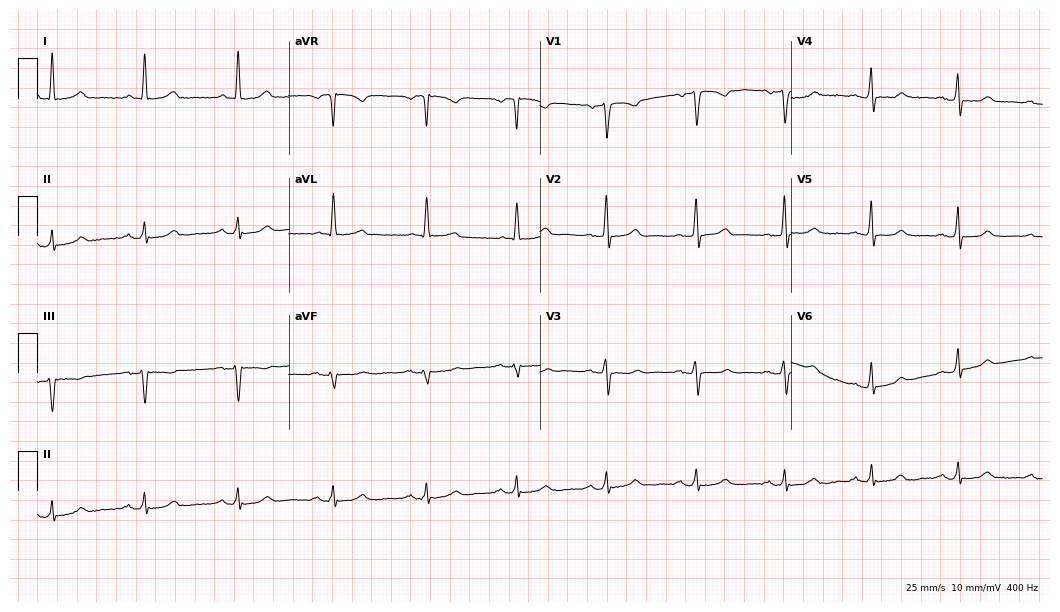
Standard 12-lead ECG recorded from a 53-year-old female patient (10.2-second recording at 400 Hz). Read as a normal ECG.